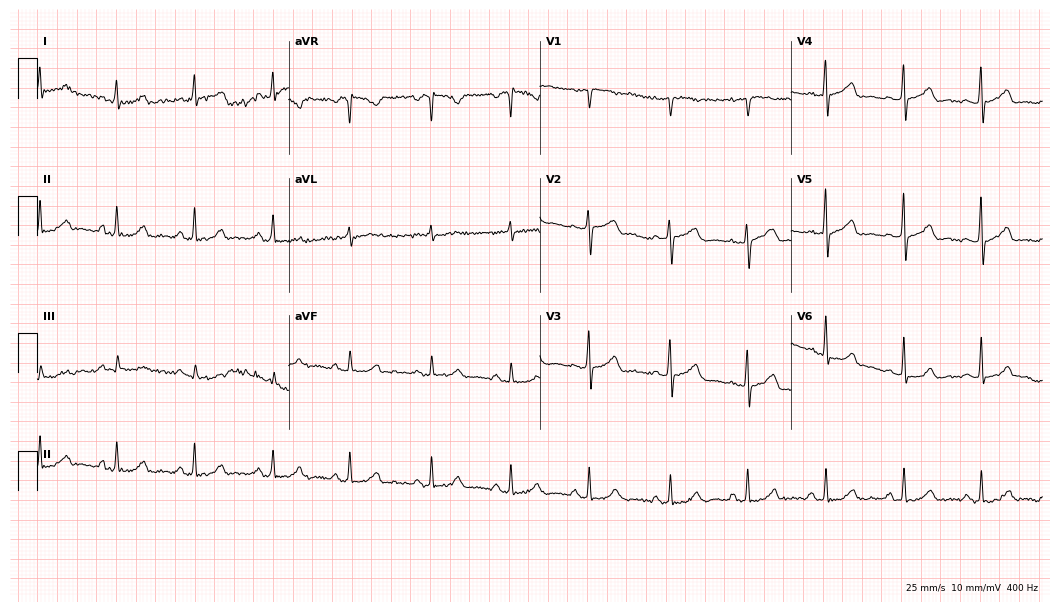
Standard 12-lead ECG recorded from a female, 46 years old. None of these six findings is recorded: first-degree AV block, right bundle branch block, left bundle branch block, sinus bradycardia, atrial fibrillation, sinus tachycardia. Findings outside these six are not listed.